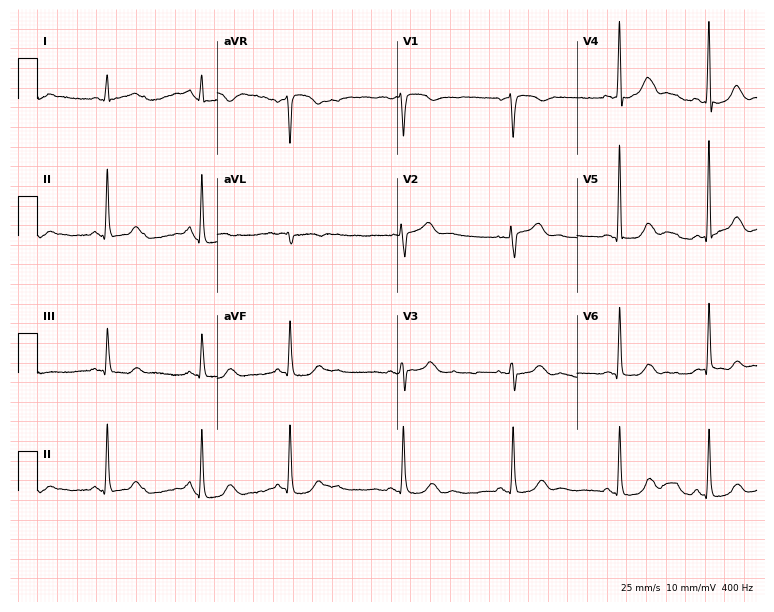
Resting 12-lead electrocardiogram (7.3-second recording at 400 Hz). Patient: a 56-year-old woman. Read as a normal ECG.